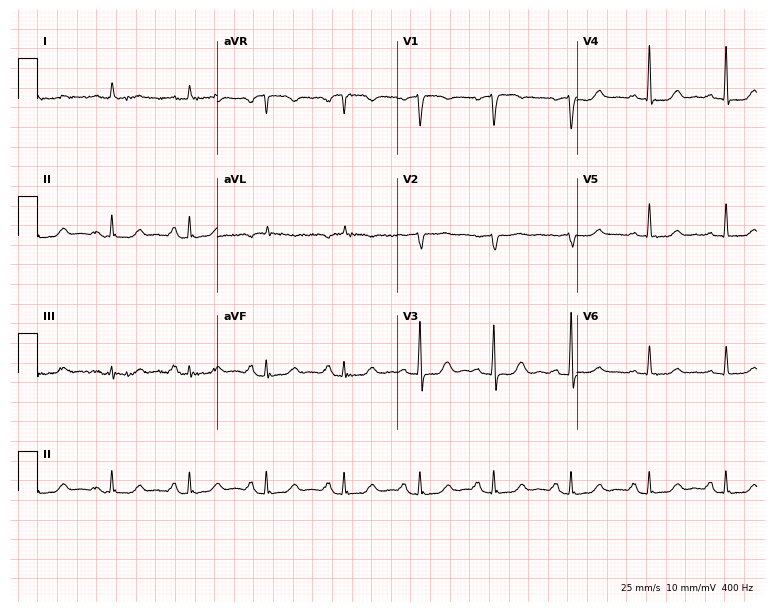
12-lead ECG (7.3-second recording at 400 Hz) from a female, 66 years old. Screened for six findings — first-degree AV block, right bundle branch block, left bundle branch block, sinus bradycardia, atrial fibrillation, sinus tachycardia — none is recorded. Other findings, if any, are not listed.